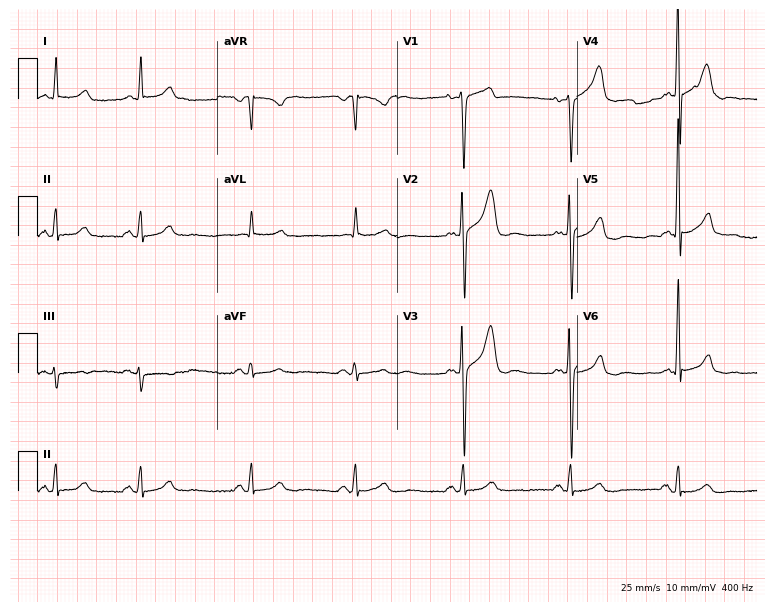
Resting 12-lead electrocardiogram. Patient: a 70-year-old male. None of these six findings is recorded: first-degree AV block, right bundle branch block, left bundle branch block, sinus bradycardia, atrial fibrillation, sinus tachycardia. Only these six findings were labelled.